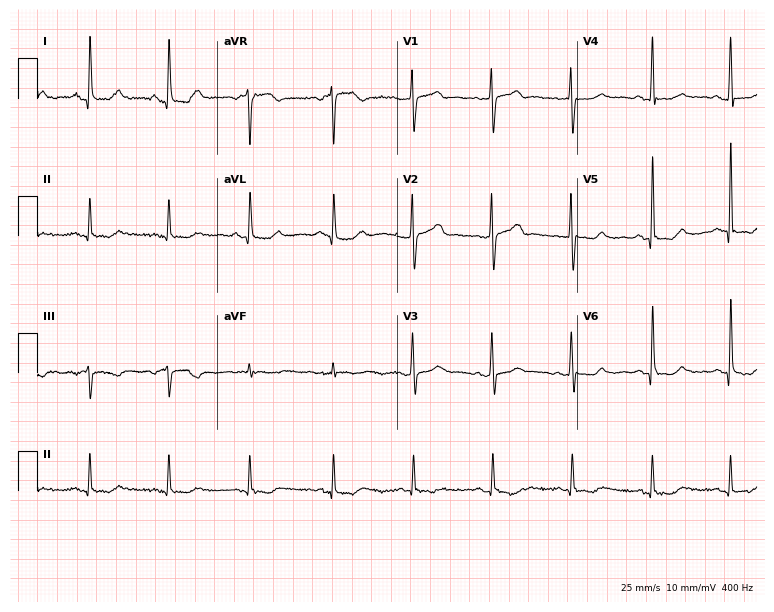
12-lead ECG (7.3-second recording at 400 Hz) from a 62-year-old female. Labelled as a normal ECG.